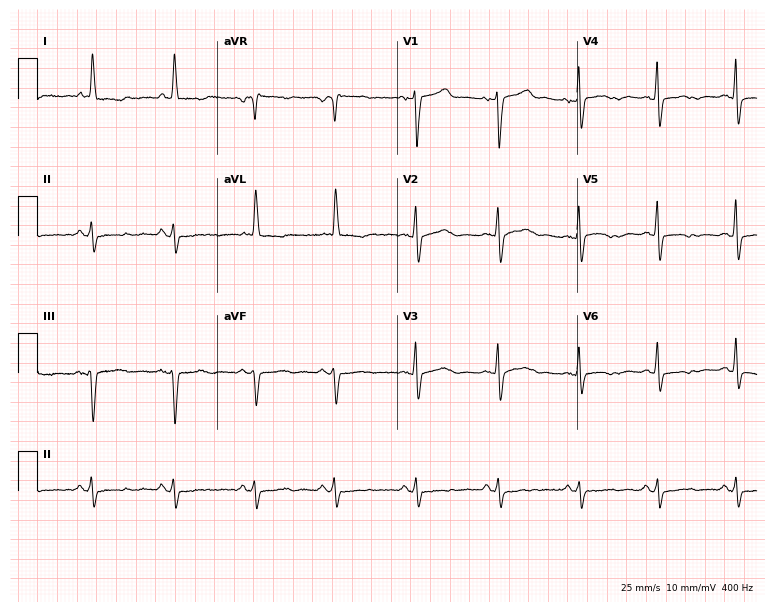
Standard 12-lead ECG recorded from an 84-year-old woman. None of these six findings is recorded: first-degree AV block, right bundle branch block, left bundle branch block, sinus bradycardia, atrial fibrillation, sinus tachycardia. Only these six findings were labelled.